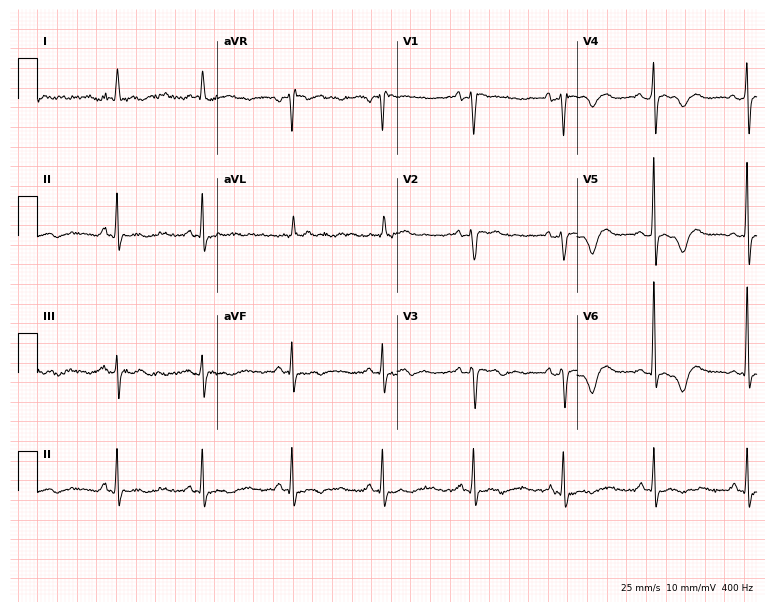
12-lead ECG from a female, 74 years old. No first-degree AV block, right bundle branch block (RBBB), left bundle branch block (LBBB), sinus bradycardia, atrial fibrillation (AF) or sinus tachycardia recorded for this tracing.